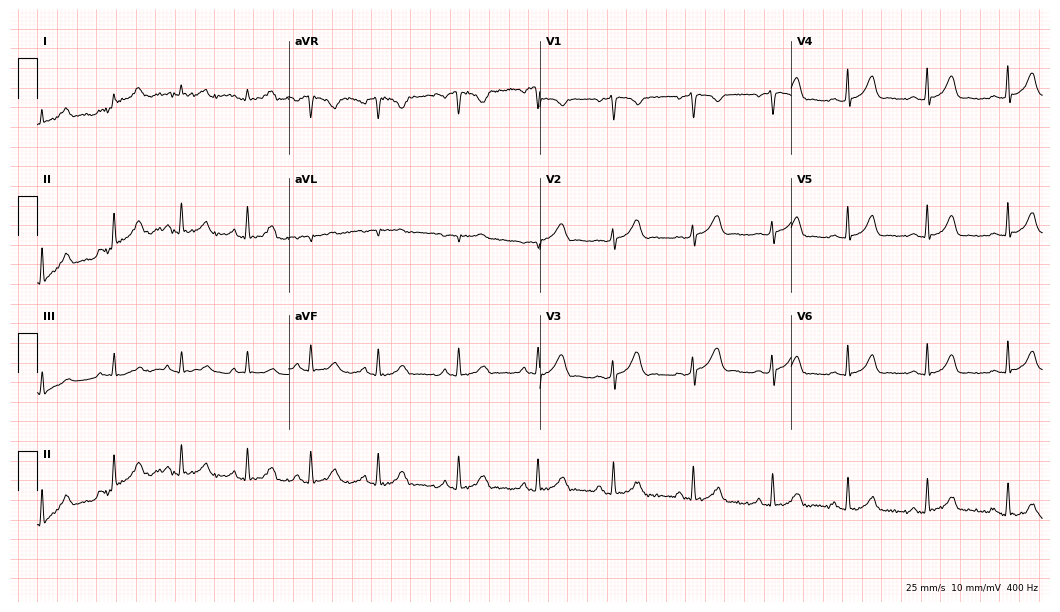
Standard 12-lead ECG recorded from a 28-year-old woman (10.2-second recording at 400 Hz). Read as a normal ECG.